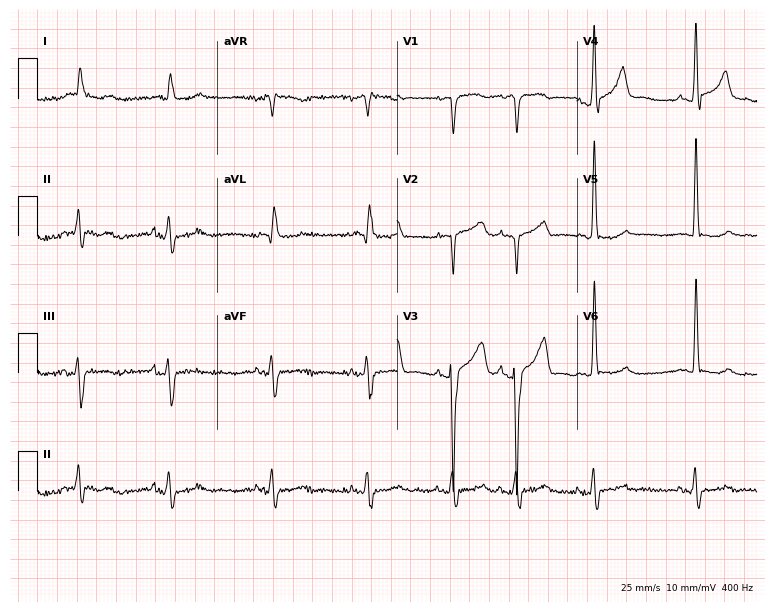
ECG — a male patient, 63 years old. Labelled as a normal ECG.